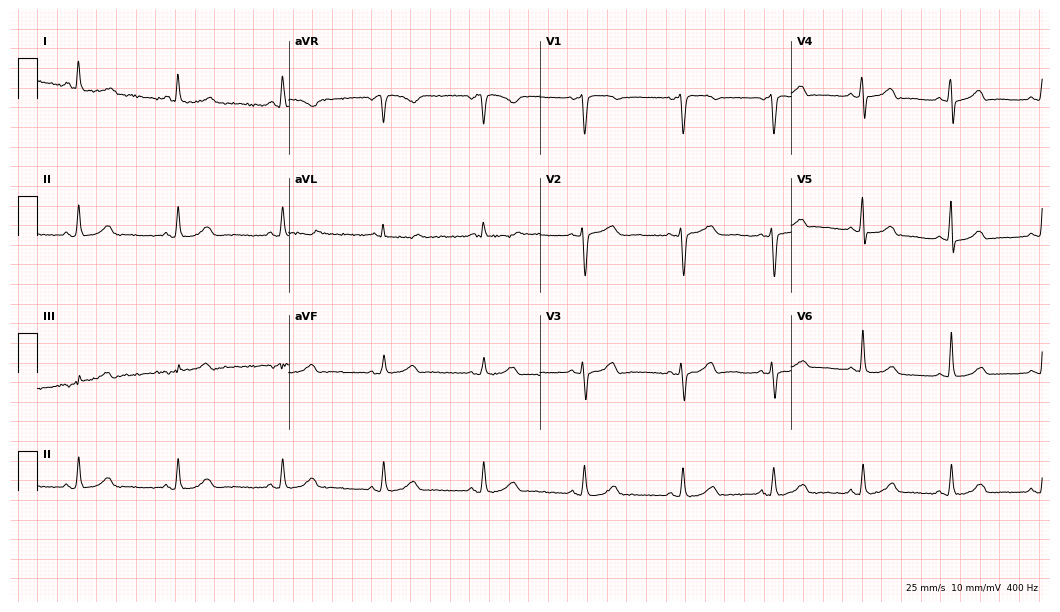
Standard 12-lead ECG recorded from a 64-year-old female patient. Read as a normal ECG.